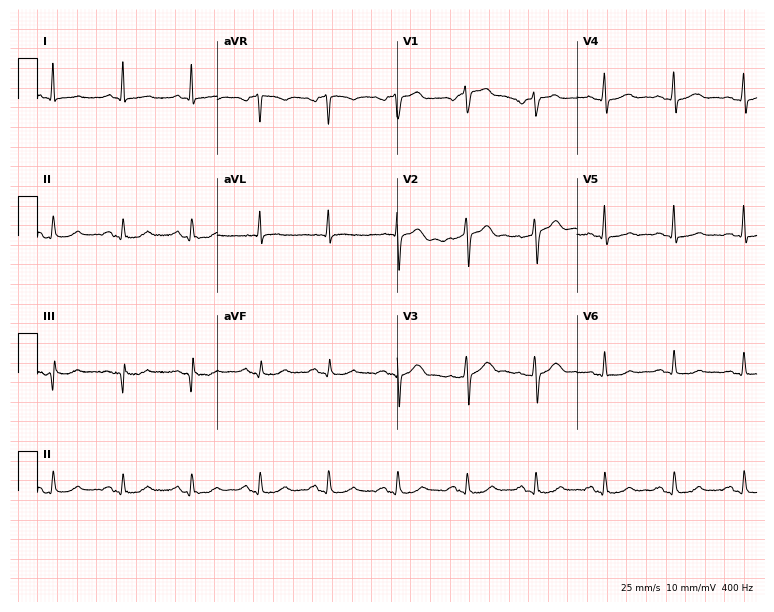
12-lead ECG from a 53-year-old man. Screened for six findings — first-degree AV block, right bundle branch block, left bundle branch block, sinus bradycardia, atrial fibrillation, sinus tachycardia — none is recorded.